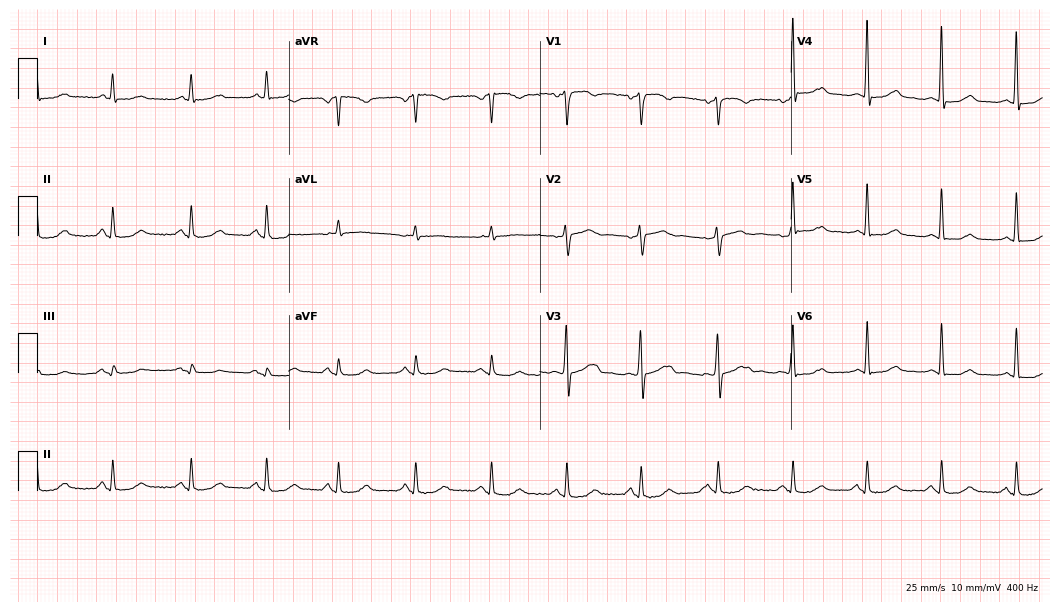
Resting 12-lead electrocardiogram. Patient: a male, 68 years old. None of these six findings is recorded: first-degree AV block, right bundle branch block, left bundle branch block, sinus bradycardia, atrial fibrillation, sinus tachycardia. Only these six findings were labelled.